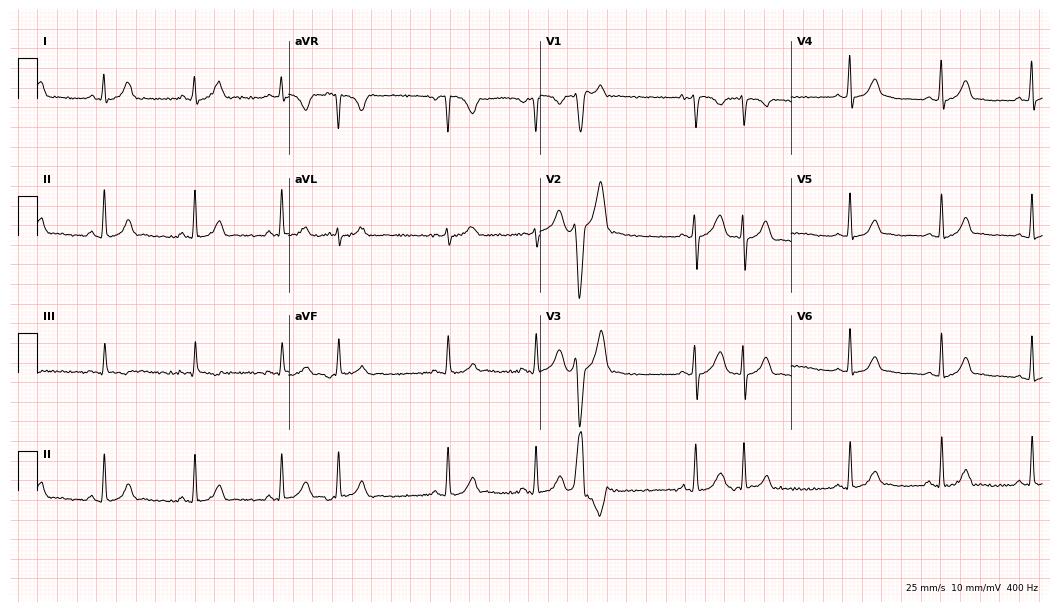
Standard 12-lead ECG recorded from a female, 17 years old (10.2-second recording at 400 Hz). Read as a normal ECG.